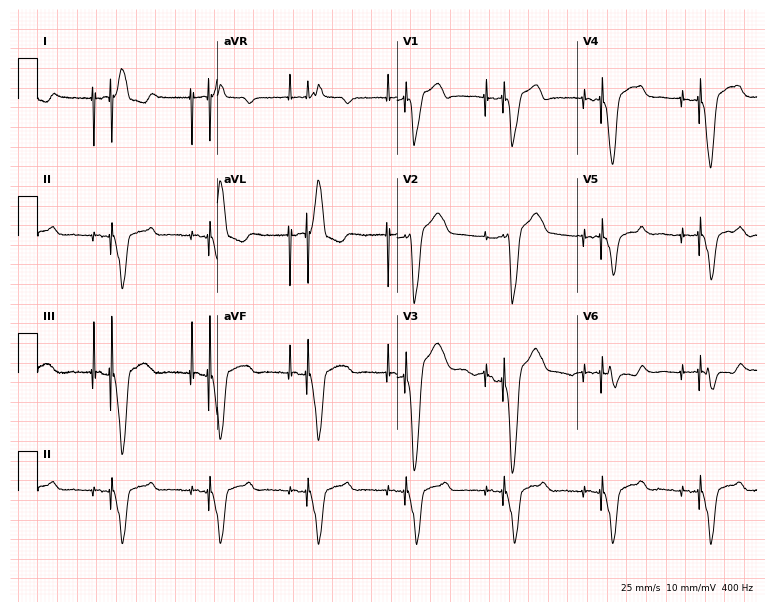
Electrocardiogram (7.3-second recording at 400 Hz), a male, 87 years old. Of the six screened findings (first-degree AV block, right bundle branch block, left bundle branch block, sinus bradycardia, atrial fibrillation, sinus tachycardia), none is recorded. Only these six findings were labelled.